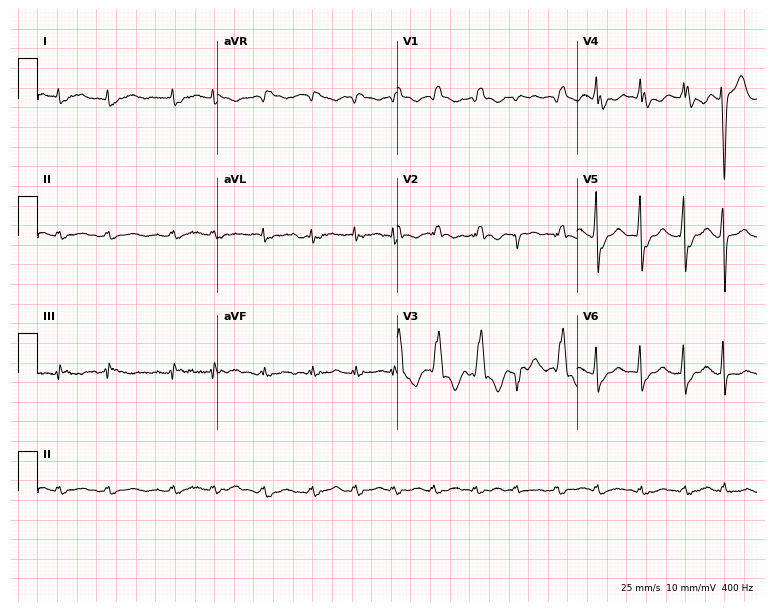
12-lead ECG from a male patient, 77 years old (7.3-second recording at 400 Hz). Shows right bundle branch block (RBBB).